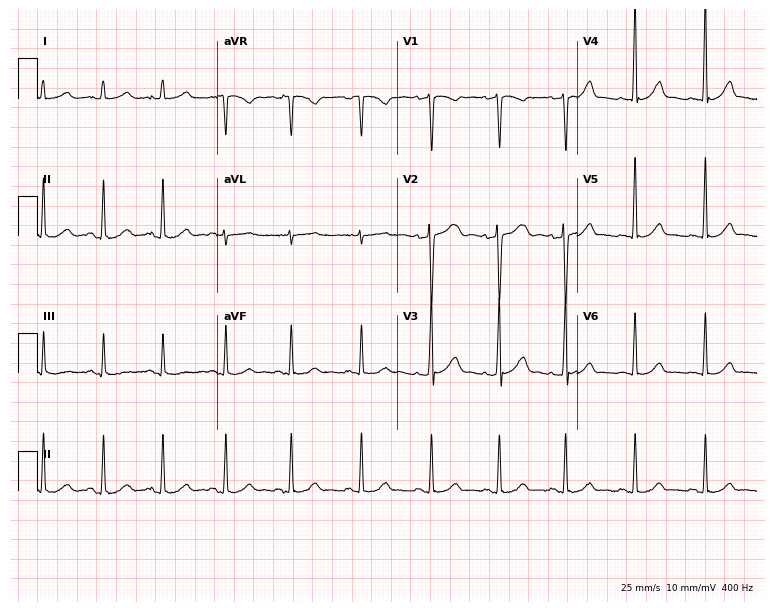
Electrocardiogram, a female patient, 18 years old. Overall reading on record: normal ECG.